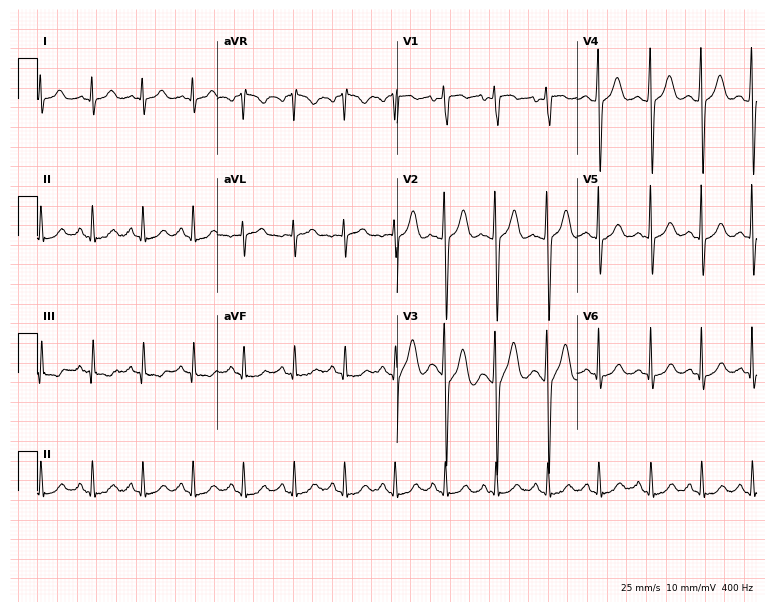
Resting 12-lead electrocardiogram (7.3-second recording at 400 Hz). Patient: a female, 26 years old. The tracing shows sinus tachycardia (a sinus rate of 100 beats per minute or more).